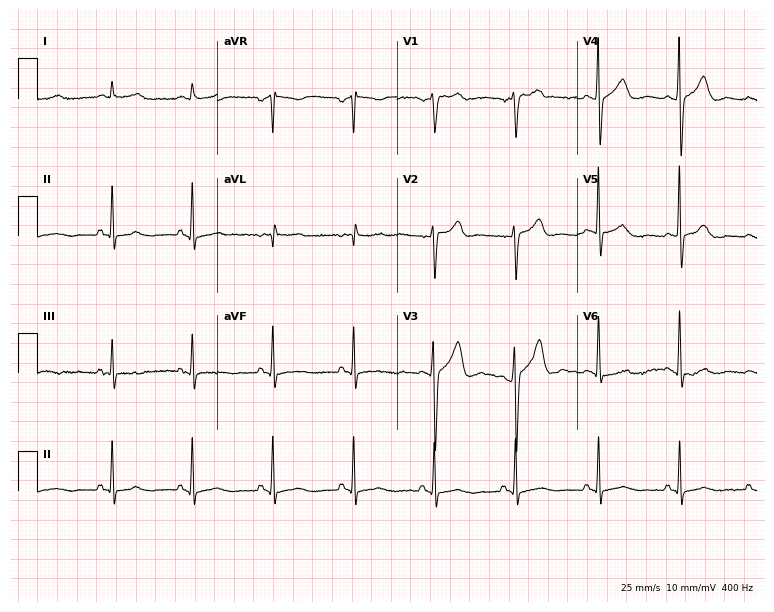
ECG — a 66-year-old male patient. Screened for six findings — first-degree AV block, right bundle branch block, left bundle branch block, sinus bradycardia, atrial fibrillation, sinus tachycardia — none is recorded. Findings outside these six are not listed.